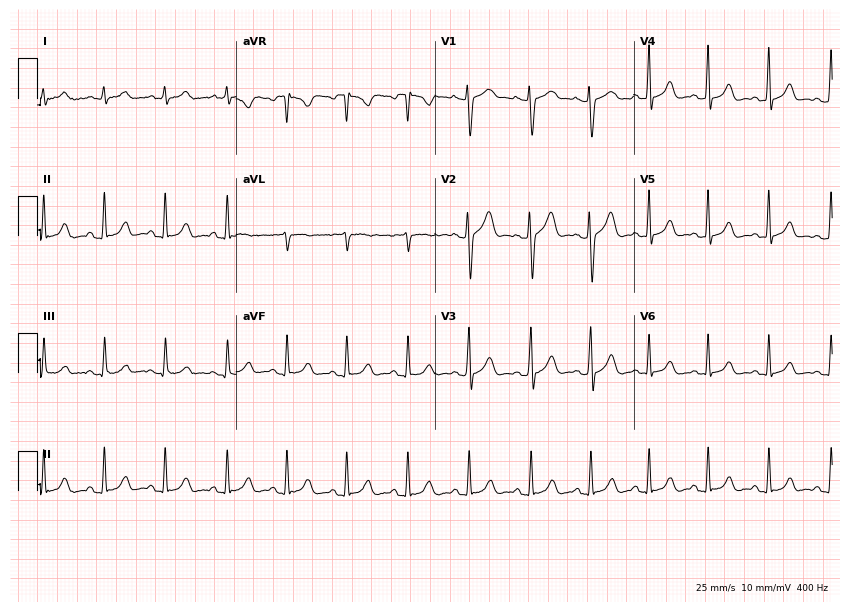
Electrocardiogram (8.1-second recording at 400 Hz), a woman, 21 years old. Overall reading on record: normal ECG.